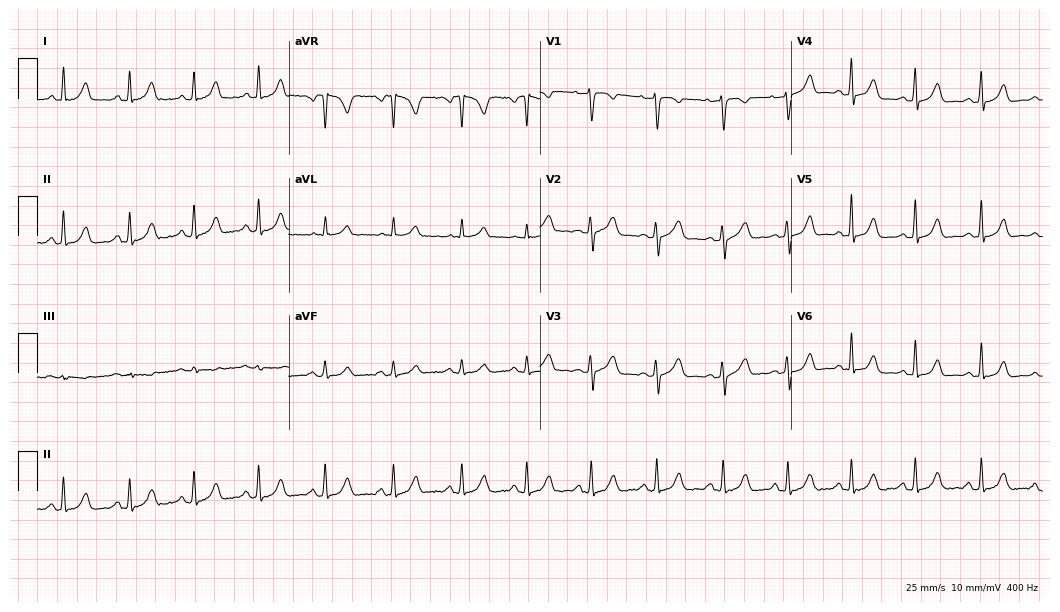
12-lead ECG from a female patient, 38 years old. No first-degree AV block, right bundle branch block, left bundle branch block, sinus bradycardia, atrial fibrillation or sinus tachycardia recorded for this tracing. Only these six findings were labelled.